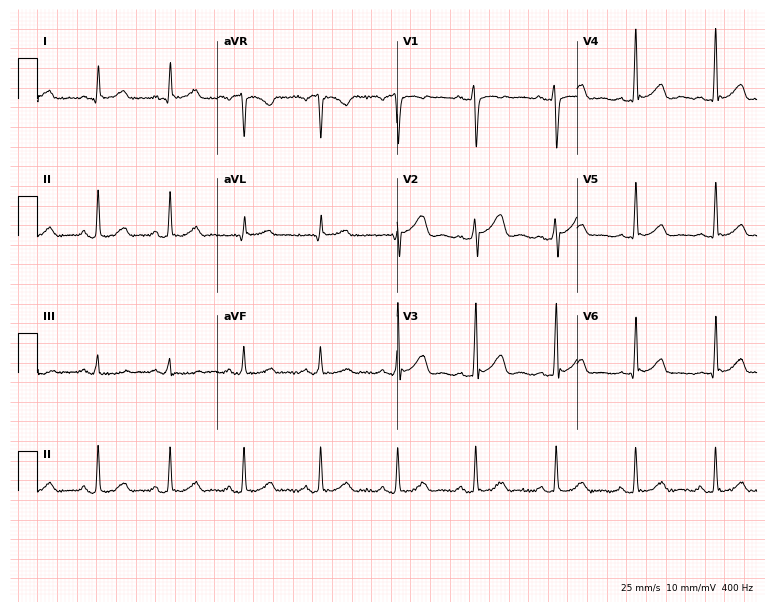
Standard 12-lead ECG recorded from a 40-year-old woman. Read as a normal ECG.